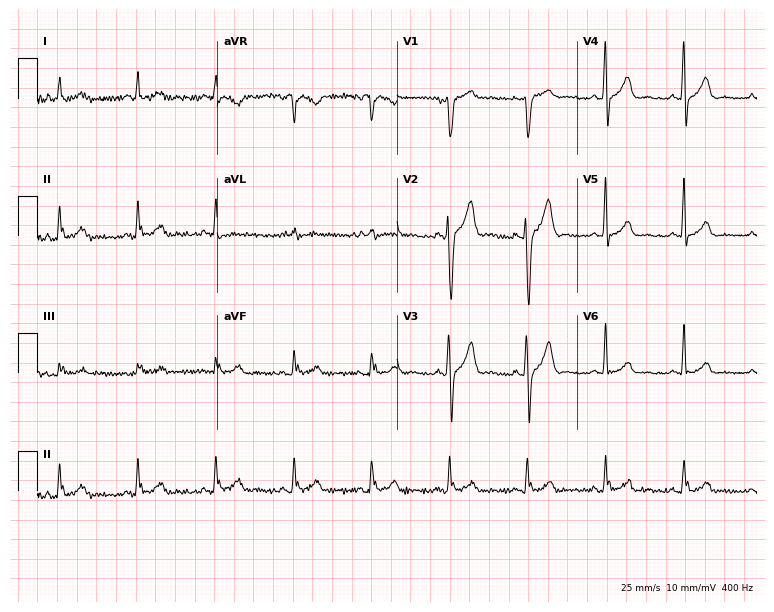
Resting 12-lead electrocardiogram (7.3-second recording at 400 Hz). Patient: a male, 76 years old. Read as a normal ECG.